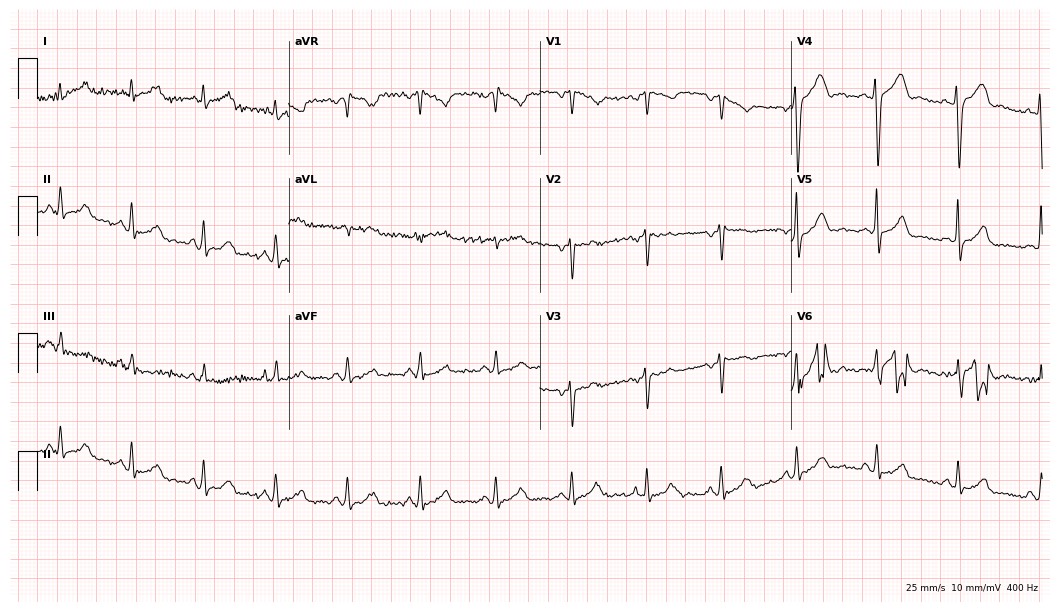
Resting 12-lead electrocardiogram. Patient: a male, 26 years old. Read as a normal ECG.